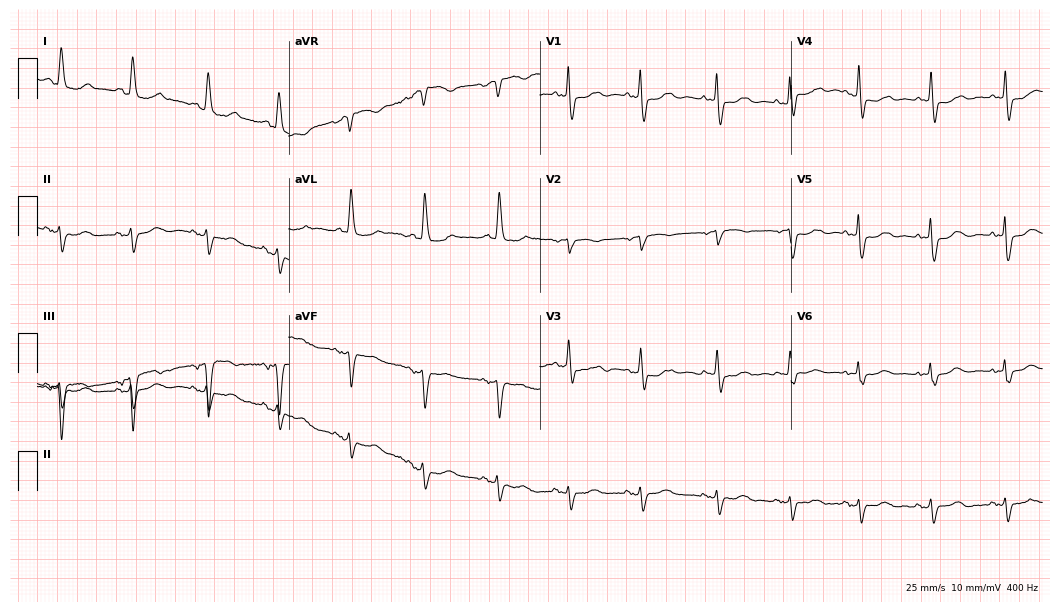
12-lead ECG from an 82-year-old male patient (10.2-second recording at 400 Hz). No first-degree AV block, right bundle branch block, left bundle branch block, sinus bradycardia, atrial fibrillation or sinus tachycardia recorded for this tracing.